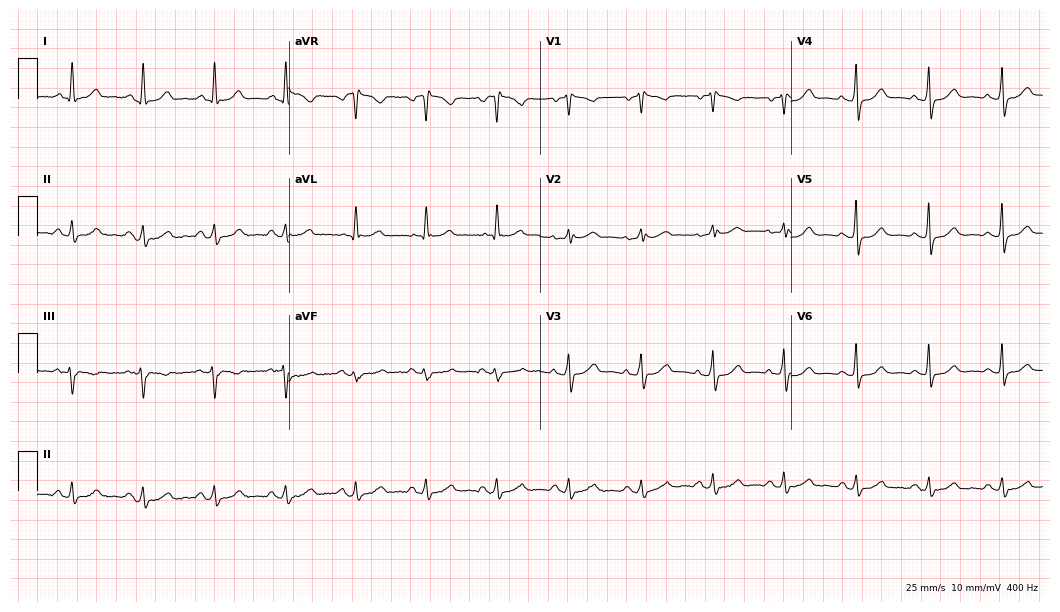
12-lead ECG from a 64-year-old female. Screened for six findings — first-degree AV block, right bundle branch block (RBBB), left bundle branch block (LBBB), sinus bradycardia, atrial fibrillation (AF), sinus tachycardia — none is recorded.